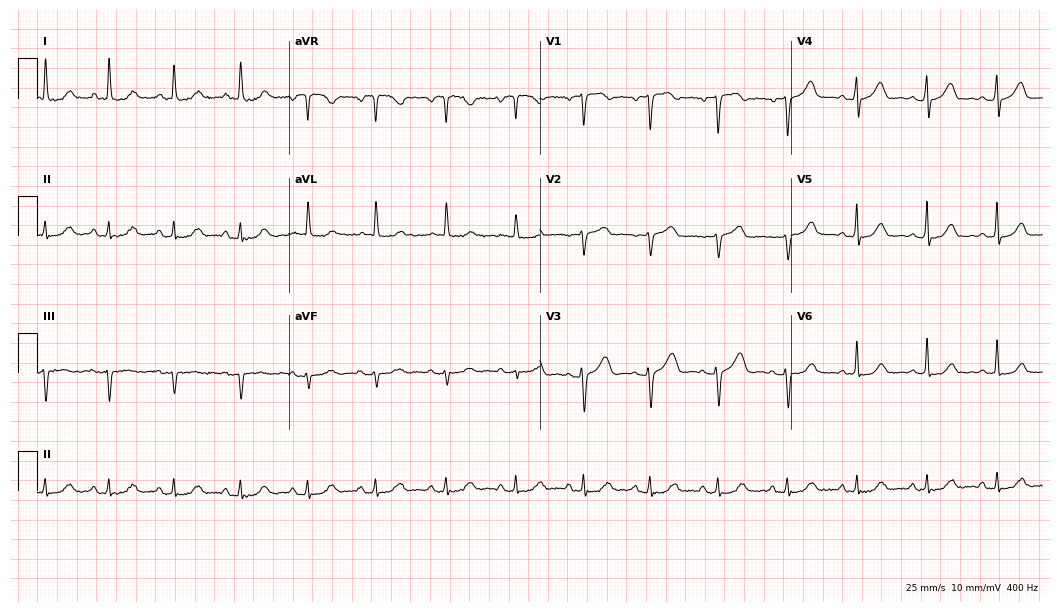
ECG — a 65-year-old female. Screened for six findings — first-degree AV block, right bundle branch block (RBBB), left bundle branch block (LBBB), sinus bradycardia, atrial fibrillation (AF), sinus tachycardia — none is recorded. Other findings, if any, are not listed.